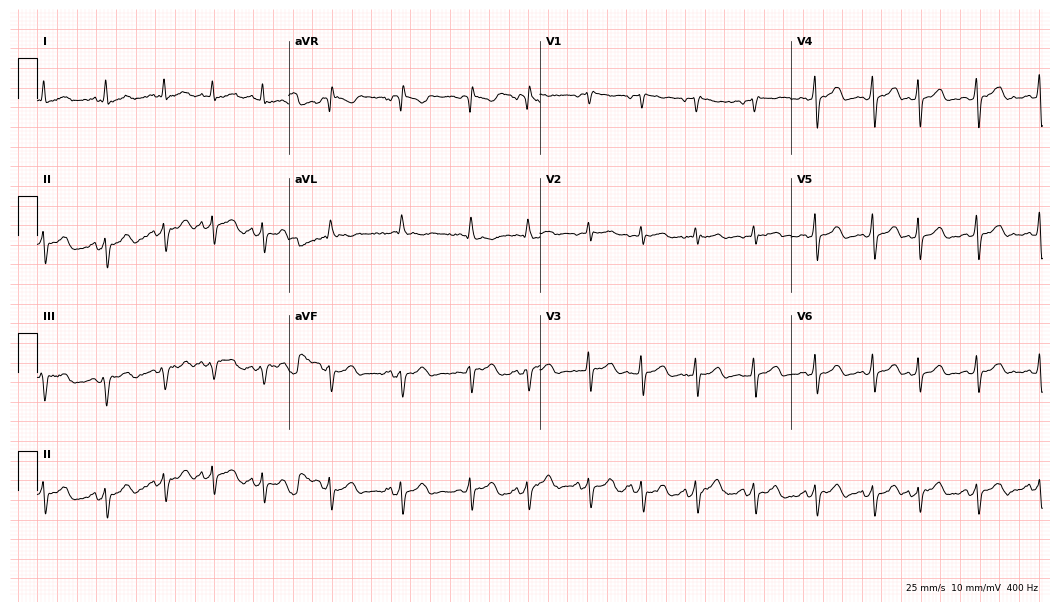
12-lead ECG from a 73-year-old female (10.2-second recording at 400 Hz). No first-degree AV block, right bundle branch block (RBBB), left bundle branch block (LBBB), sinus bradycardia, atrial fibrillation (AF) or sinus tachycardia recorded for this tracing.